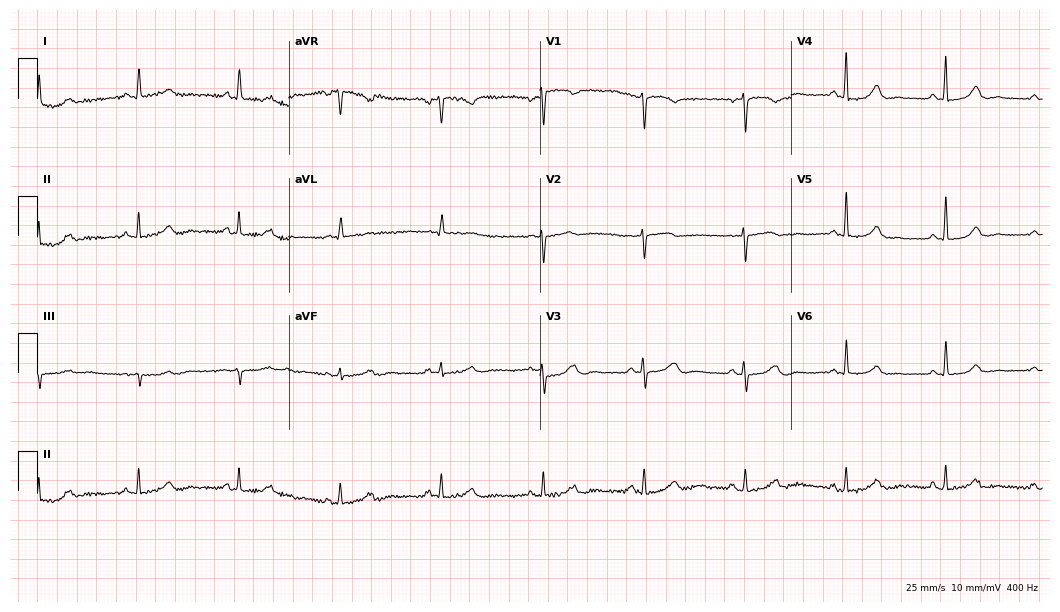
Standard 12-lead ECG recorded from a 66-year-old female (10.2-second recording at 400 Hz). Read as a normal ECG.